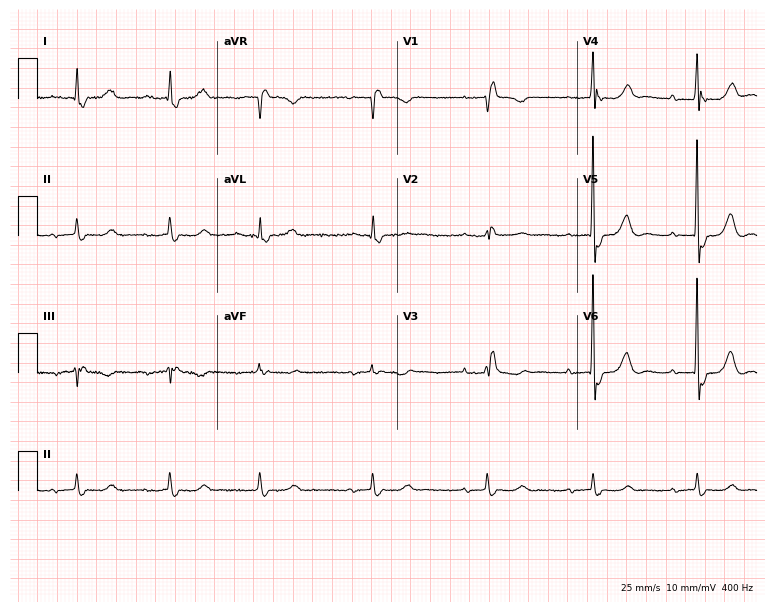
ECG (7.3-second recording at 400 Hz) — a 74-year-old woman. Findings include first-degree AV block, right bundle branch block (RBBB).